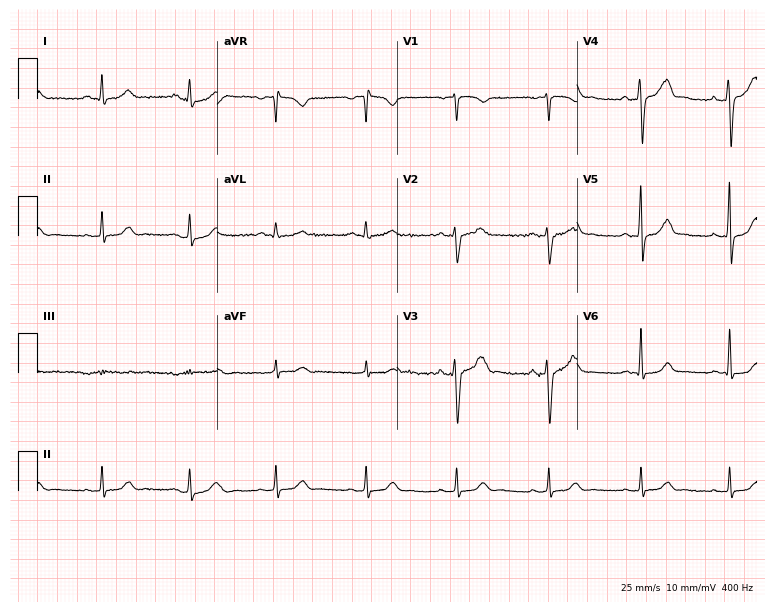
Resting 12-lead electrocardiogram (7.3-second recording at 400 Hz). Patient: a man, 55 years old. Read as a normal ECG.